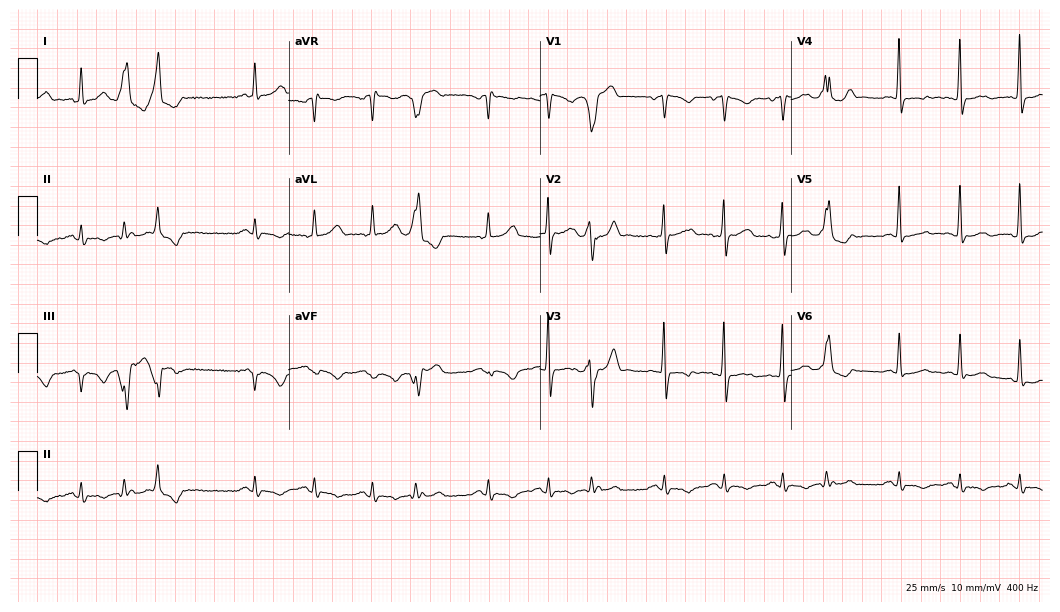
Electrocardiogram (10.2-second recording at 400 Hz), a 50-year-old male. Of the six screened findings (first-degree AV block, right bundle branch block, left bundle branch block, sinus bradycardia, atrial fibrillation, sinus tachycardia), none is recorded. Findings outside these six are not listed.